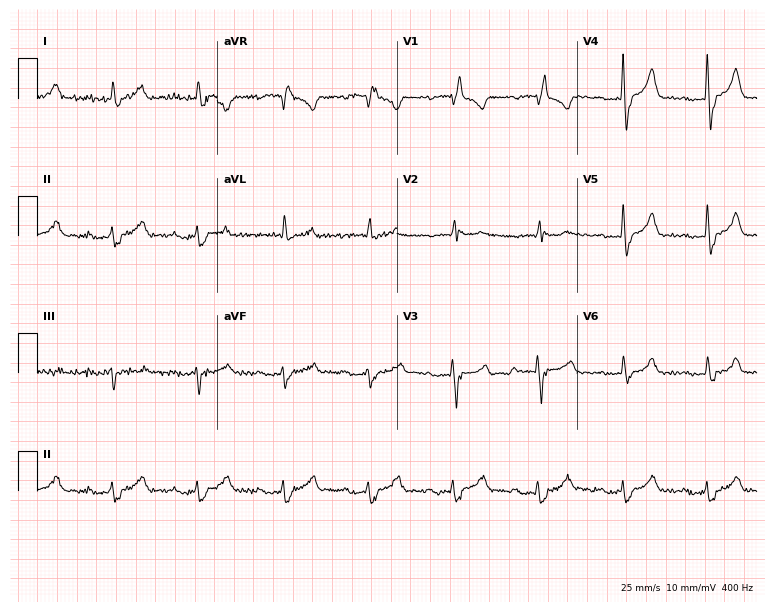
Standard 12-lead ECG recorded from a 69-year-old man. The tracing shows first-degree AV block, right bundle branch block (RBBB).